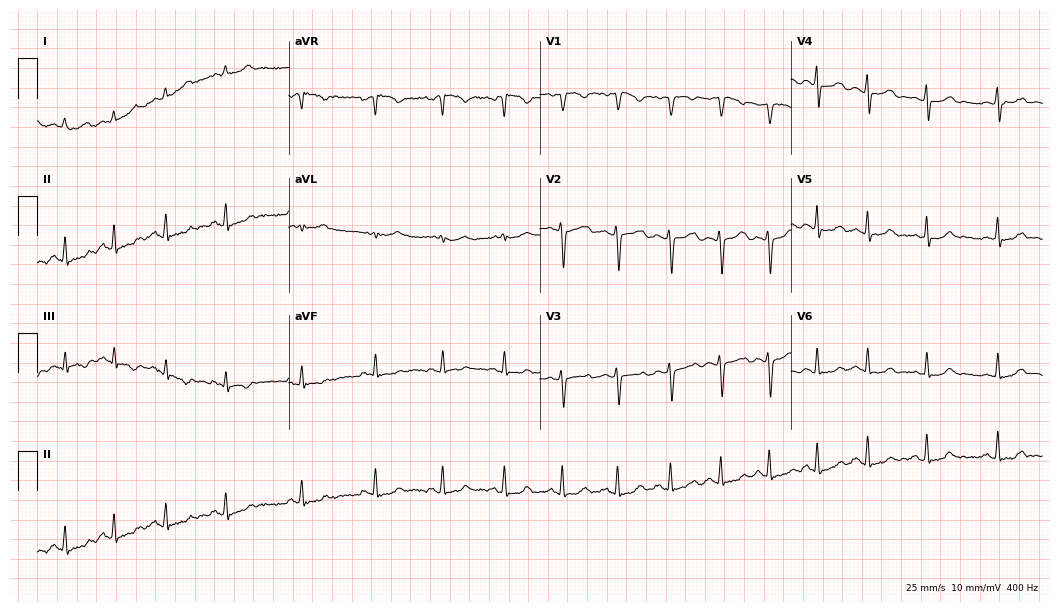
ECG (10.2-second recording at 400 Hz) — a female, 26 years old. Findings include sinus tachycardia (a sinus rate of 100 beats per minute or more).